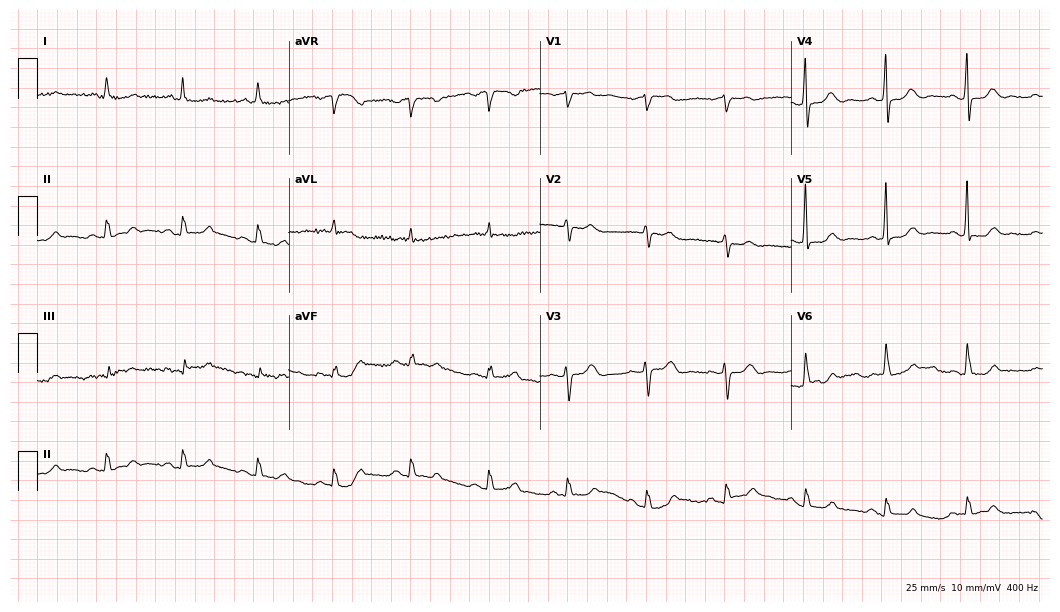
Electrocardiogram, a 64-year-old male. Of the six screened findings (first-degree AV block, right bundle branch block, left bundle branch block, sinus bradycardia, atrial fibrillation, sinus tachycardia), none is recorded. Findings outside these six are not listed.